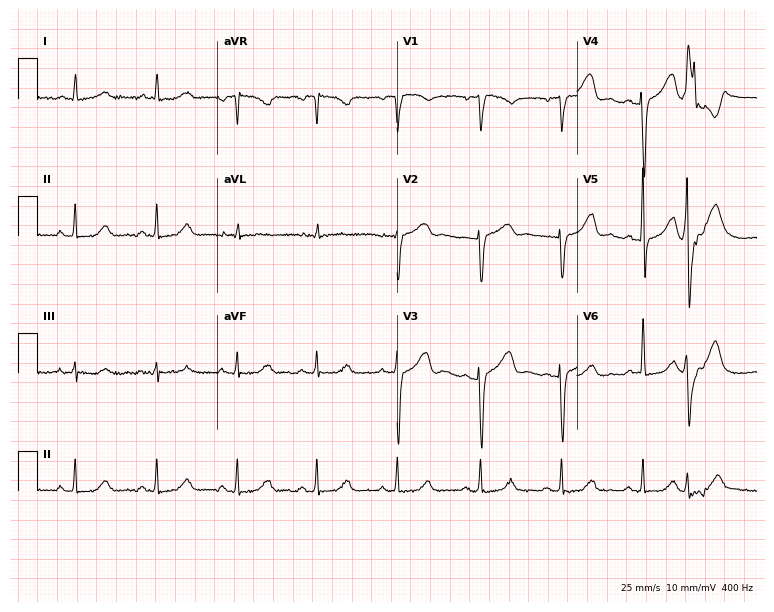
ECG — an 80-year-old woman. Screened for six findings — first-degree AV block, right bundle branch block, left bundle branch block, sinus bradycardia, atrial fibrillation, sinus tachycardia — none is recorded. Findings outside these six are not listed.